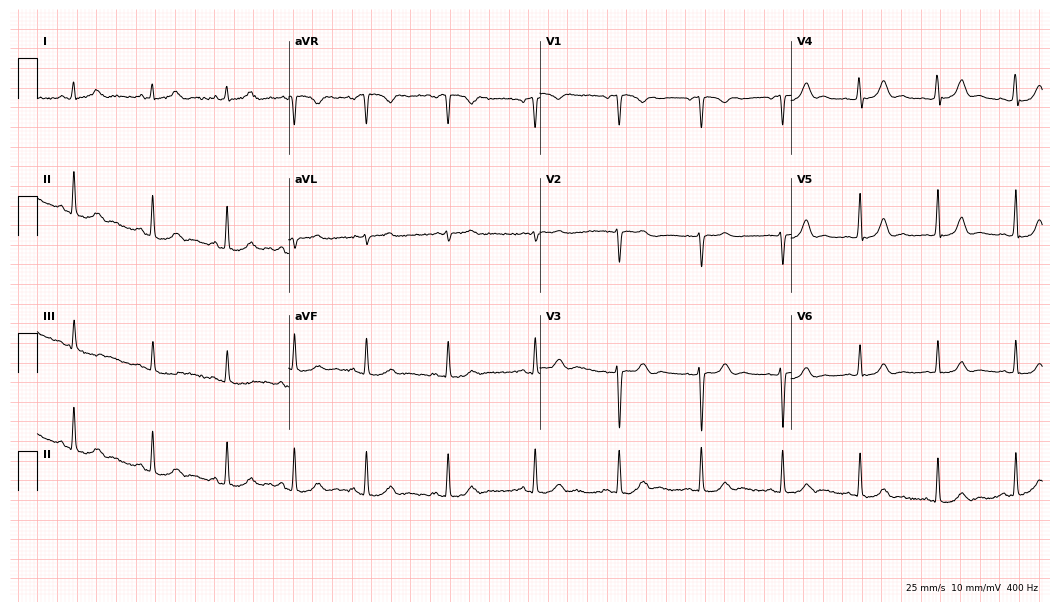
Electrocardiogram, a woman, 21 years old. Overall reading on record: normal ECG.